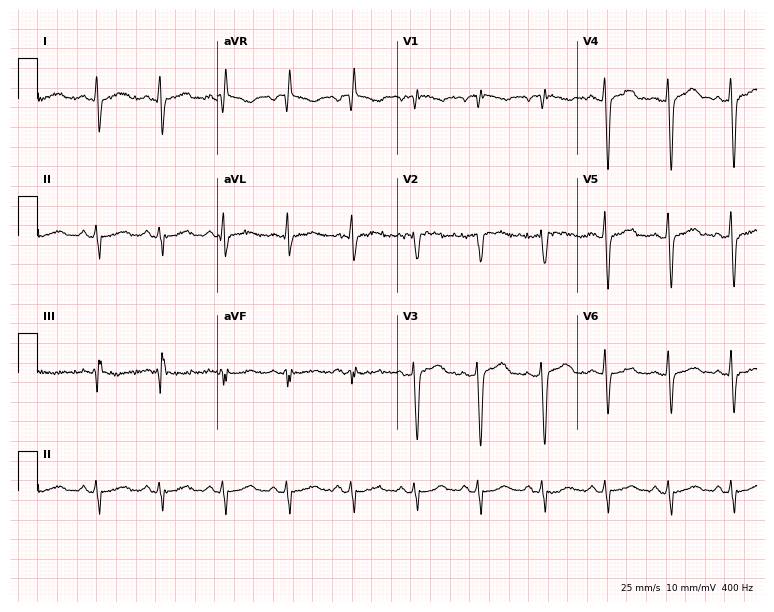
Resting 12-lead electrocardiogram. Patient: a man, 49 years old. None of these six findings is recorded: first-degree AV block, right bundle branch block, left bundle branch block, sinus bradycardia, atrial fibrillation, sinus tachycardia.